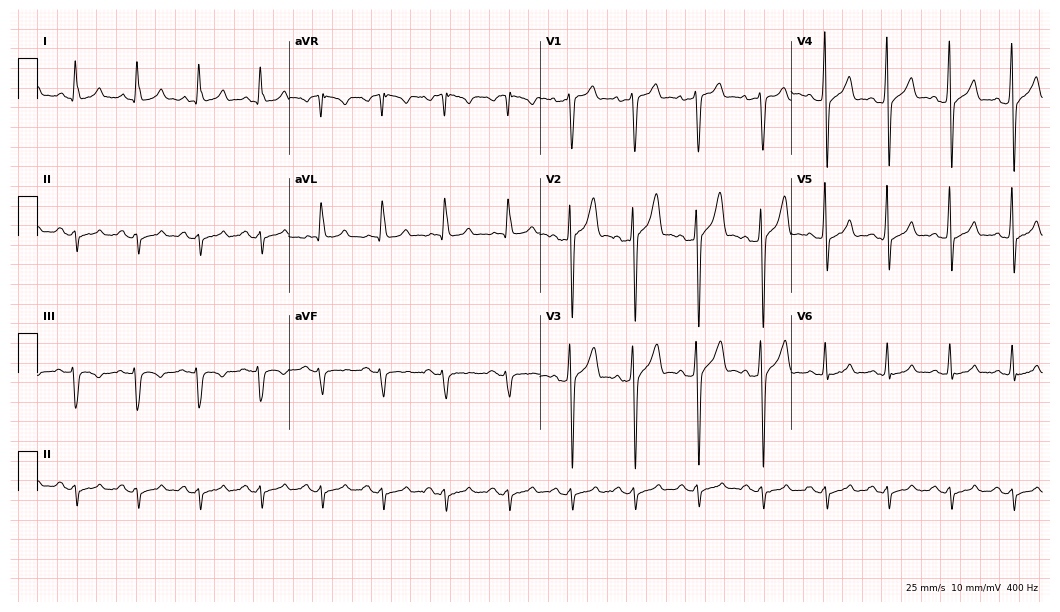
Resting 12-lead electrocardiogram (10.2-second recording at 400 Hz). Patient: a 40-year-old man. None of these six findings is recorded: first-degree AV block, right bundle branch block, left bundle branch block, sinus bradycardia, atrial fibrillation, sinus tachycardia. Only these six findings were labelled.